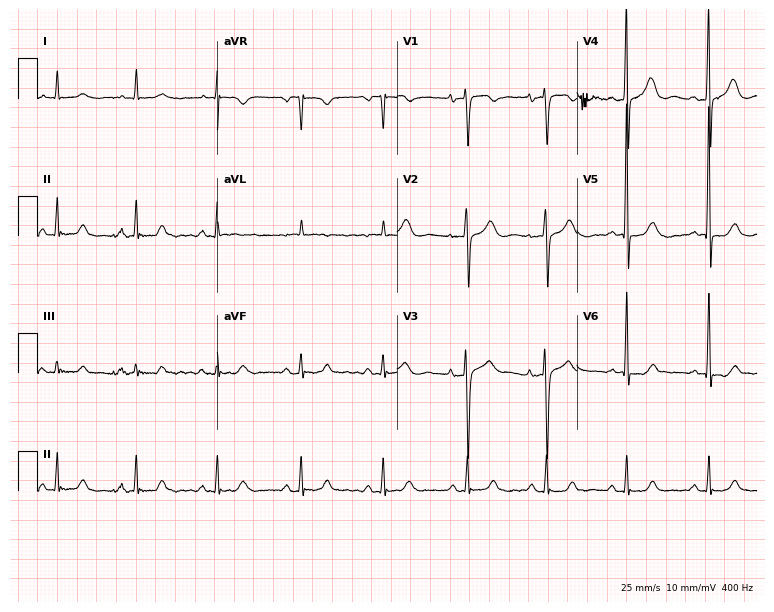
12-lead ECG (7.3-second recording at 400 Hz) from a woman, 84 years old. Labelled as a normal ECG.